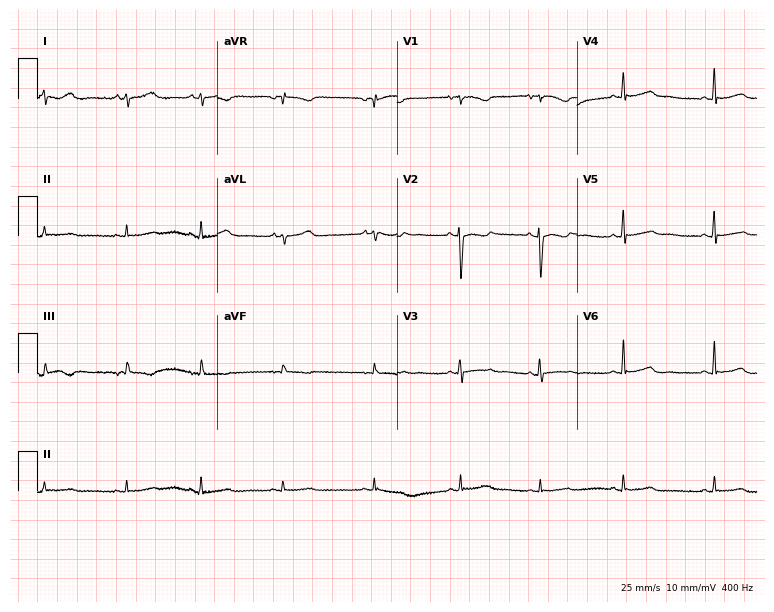
ECG — a female, 20 years old. Screened for six findings — first-degree AV block, right bundle branch block, left bundle branch block, sinus bradycardia, atrial fibrillation, sinus tachycardia — none is recorded.